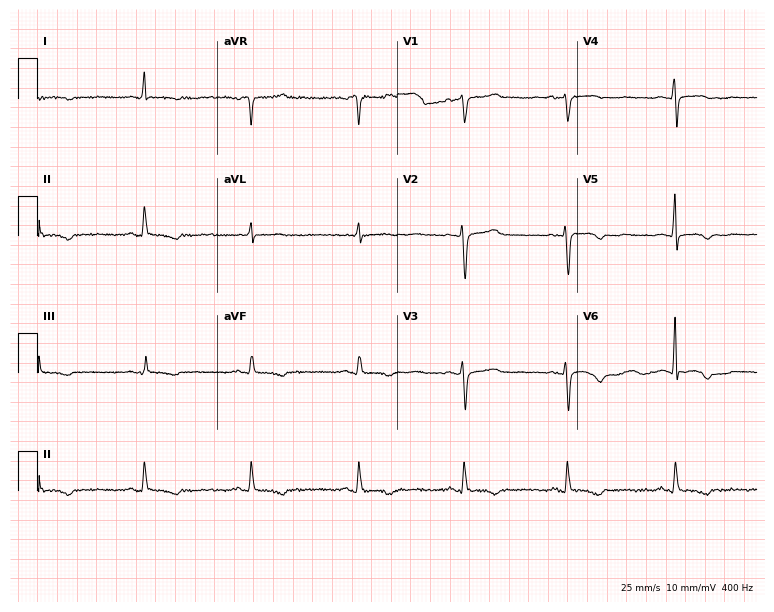
12-lead ECG from a 55-year-old female patient. Labelled as a normal ECG.